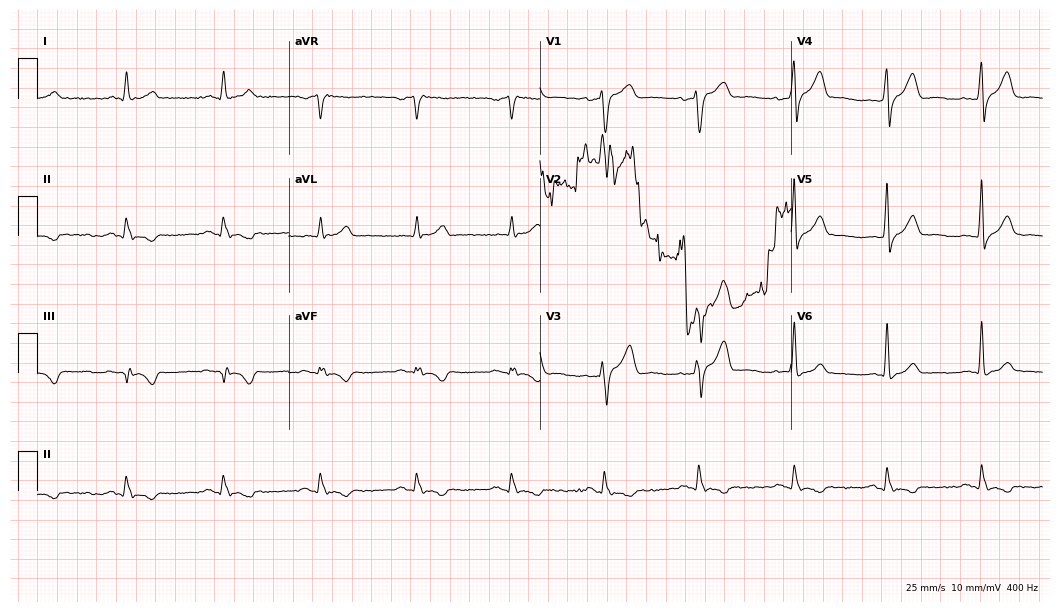
Electrocardiogram (10.2-second recording at 400 Hz), a 77-year-old man. Of the six screened findings (first-degree AV block, right bundle branch block, left bundle branch block, sinus bradycardia, atrial fibrillation, sinus tachycardia), none is recorded. Findings outside these six are not listed.